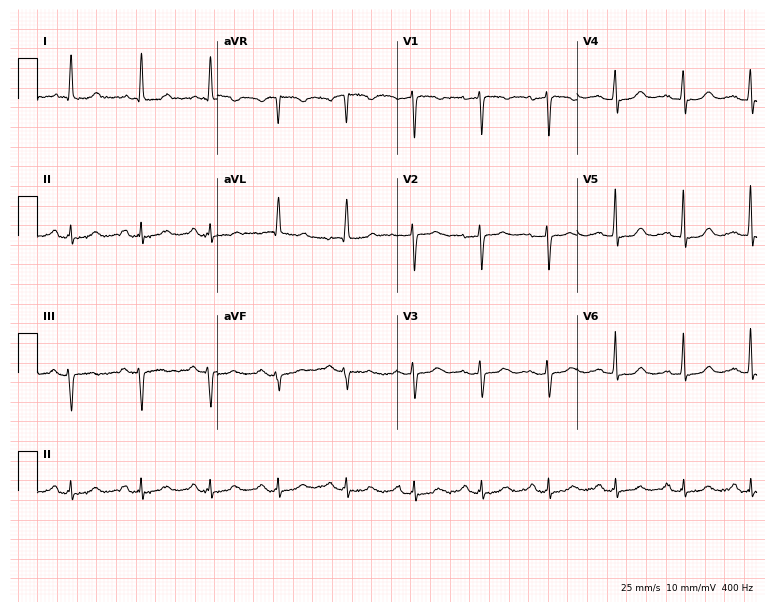
12-lead ECG from a 65-year-old woman (7.3-second recording at 400 Hz). Recorded interpretation: within normal limits.